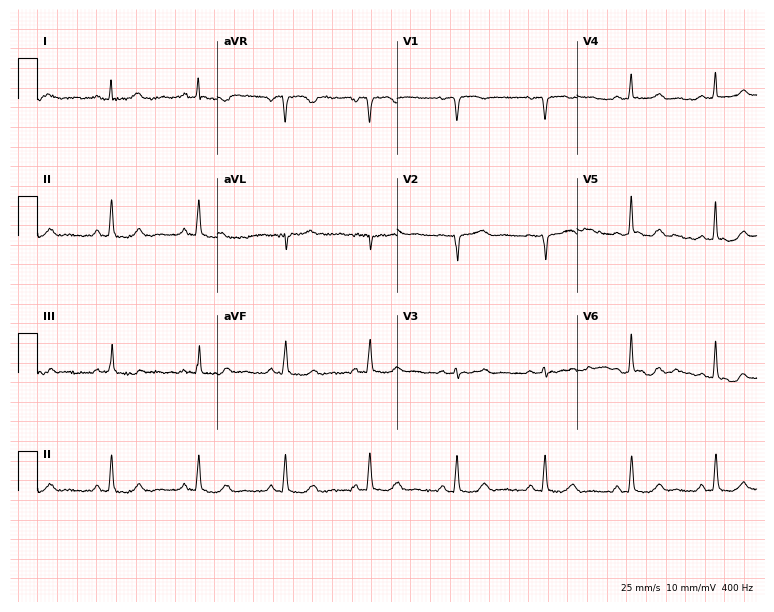
ECG — a woman, 62 years old. Labelled as a normal ECG.